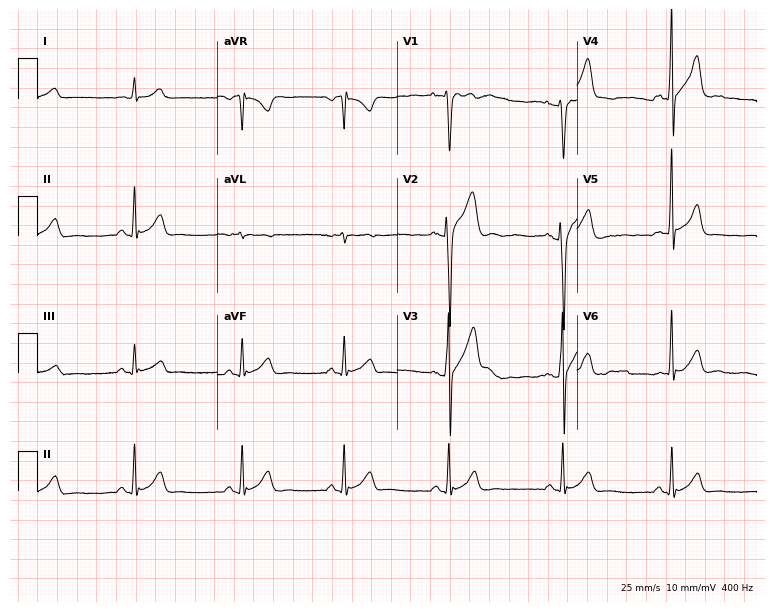
12-lead ECG (7.3-second recording at 400 Hz) from a 30-year-old male. Screened for six findings — first-degree AV block, right bundle branch block, left bundle branch block, sinus bradycardia, atrial fibrillation, sinus tachycardia — none is recorded.